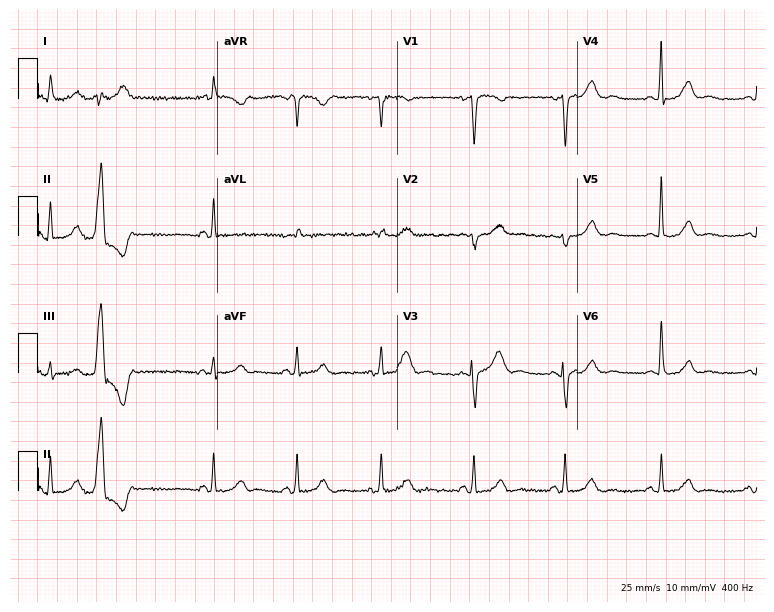
Electrocardiogram (7.3-second recording at 400 Hz), a female, 44 years old. Of the six screened findings (first-degree AV block, right bundle branch block (RBBB), left bundle branch block (LBBB), sinus bradycardia, atrial fibrillation (AF), sinus tachycardia), none is recorded. Findings outside these six are not listed.